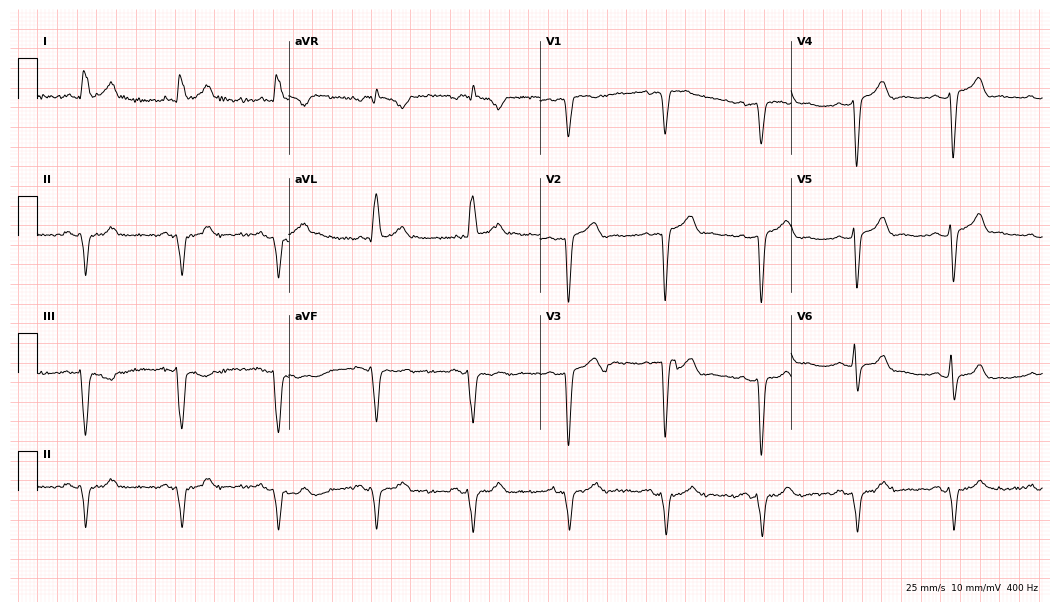
Electrocardiogram (10.2-second recording at 400 Hz), a 71-year-old man. Of the six screened findings (first-degree AV block, right bundle branch block (RBBB), left bundle branch block (LBBB), sinus bradycardia, atrial fibrillation (AF), sinus tachycardia), none is recorded. Other findings, if any, are not listed.